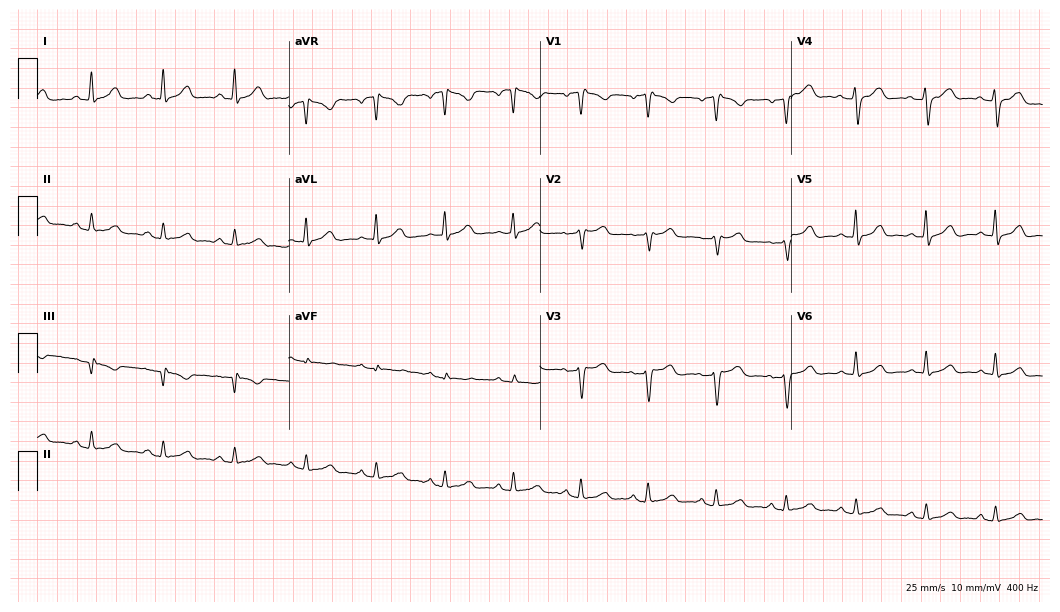
12-lead ECG from a female, 55 years old (10.2-second recording at 400 Hz). Recorded interpretation: within normal limits.